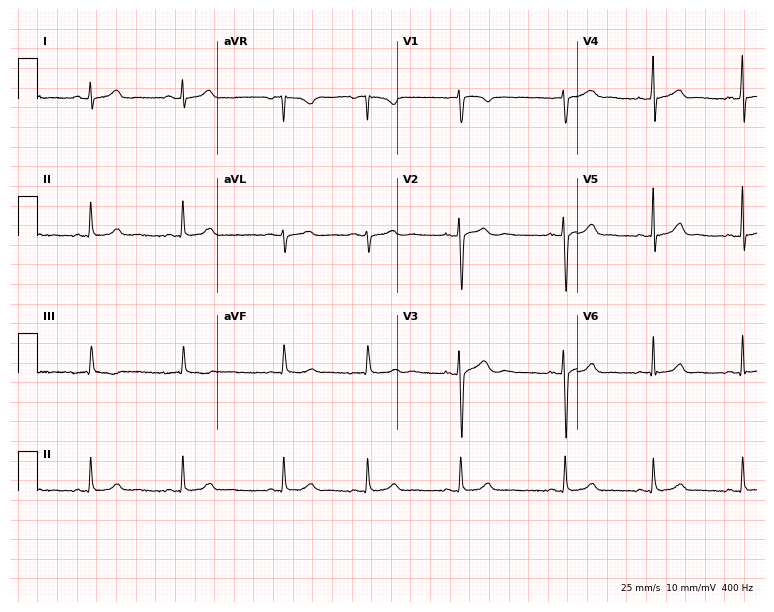
Standard 12-lead ECG recorded from a woman, 24 years old (7.3-second recording at 400 Hz). Read as a normal ECG.